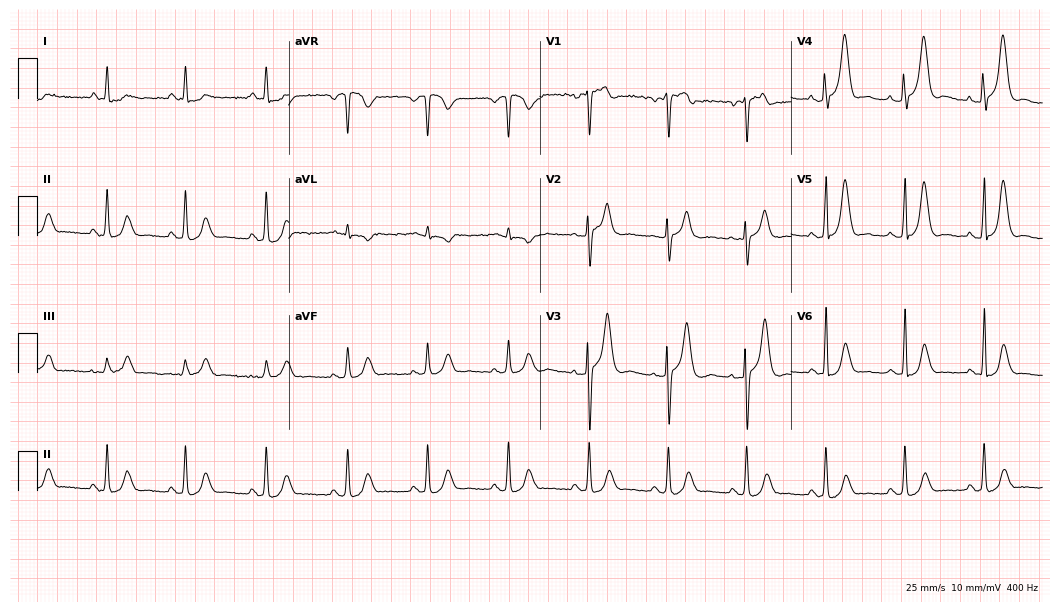
12-lead ECG from a woman, 48 years old. No first-degree AV block, right bundle branch block, left bundle branch block, sinus bradycardia, atrial fibrillation or sinus tachycardia recorded for this tracing. Only these six findings were labelled.